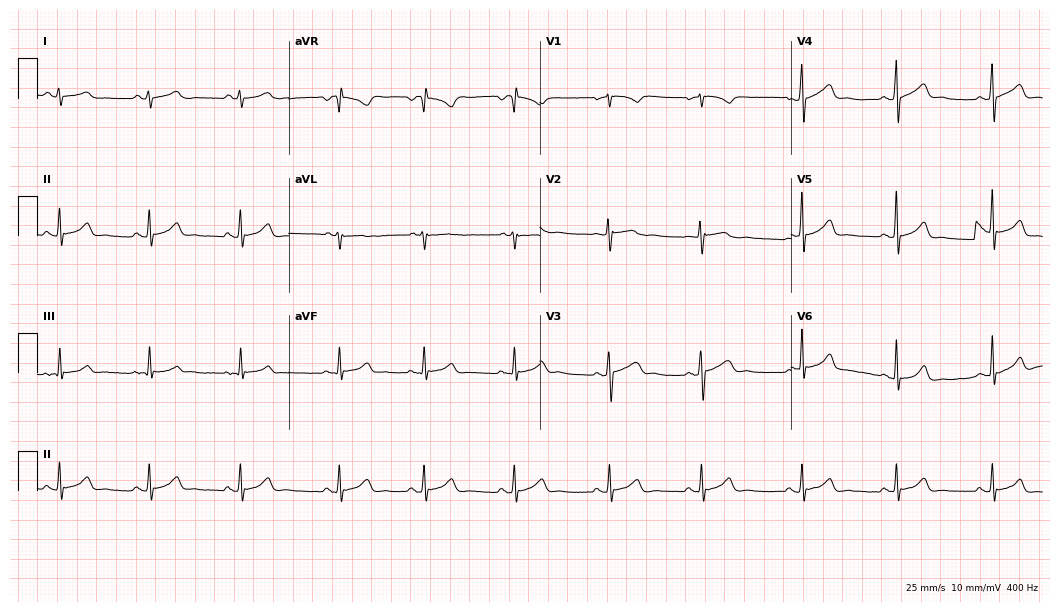
Standard 12-lead ECG recorded from a 21-year-old woman (10.2-second recording at 400 Hz). Read as a normal ECG.